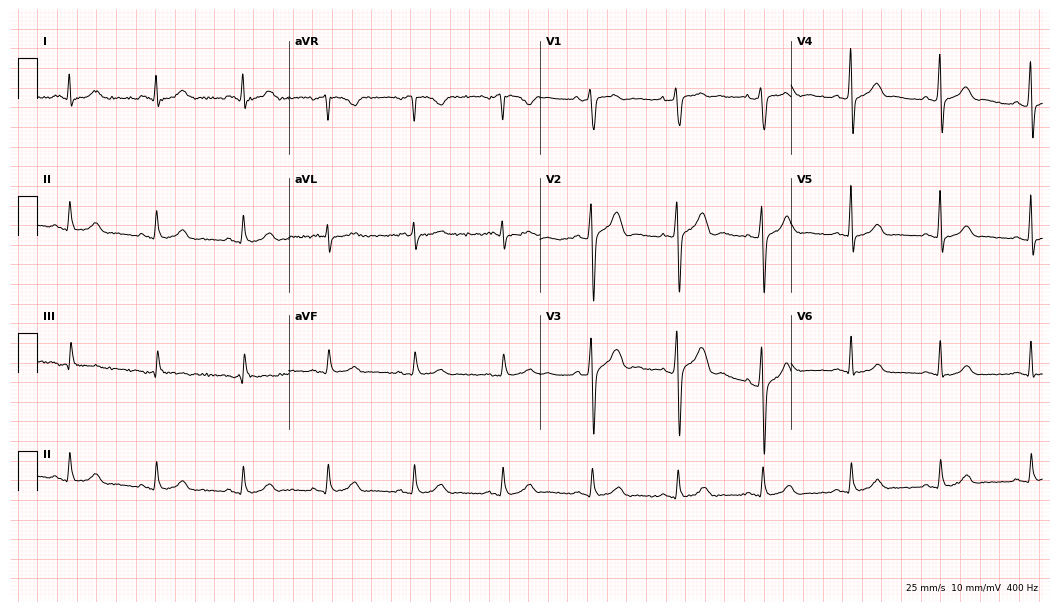
Resting 12-lead electrocardiogram (10.2-second recording at 400 Hz). Patient: a 48-year-old man. Read as a normal ECG.